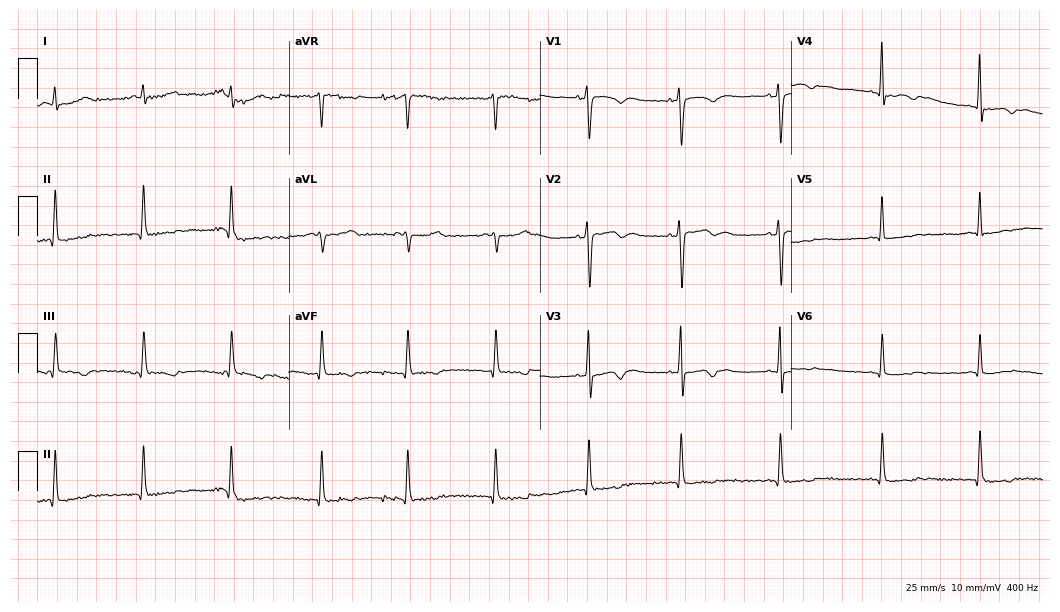
12-lead ECG from a woman, 50 years old (10.2-second recording at 400 Hz). Recorded interpretation: within normal limits.